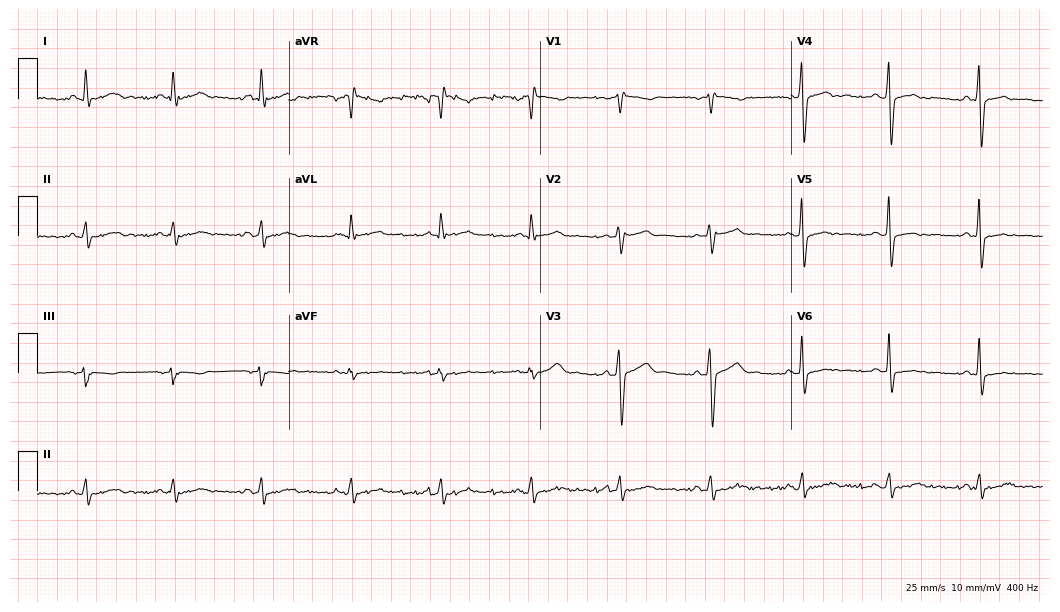
12-lead ECG (10.2-second recording at 400 Hz) from a woman, 40 years old. Screened for six findings — first-degree AV block, right bundle branch block, left bundle branch block, sinus bradycardia, atrial fibrillation, sinus tachycardia — none is recorded. Only these six findings were labelled.